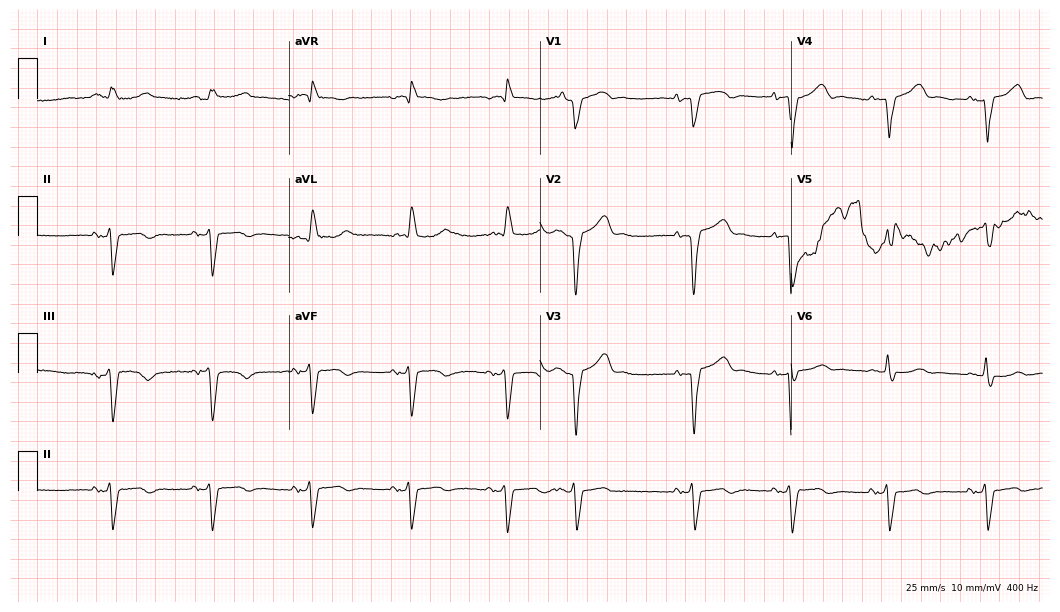
Electrocardiogram (10.2-second recording at 400 Hz), a woman, 85 years old. Interpretation includes left bundle branch block.